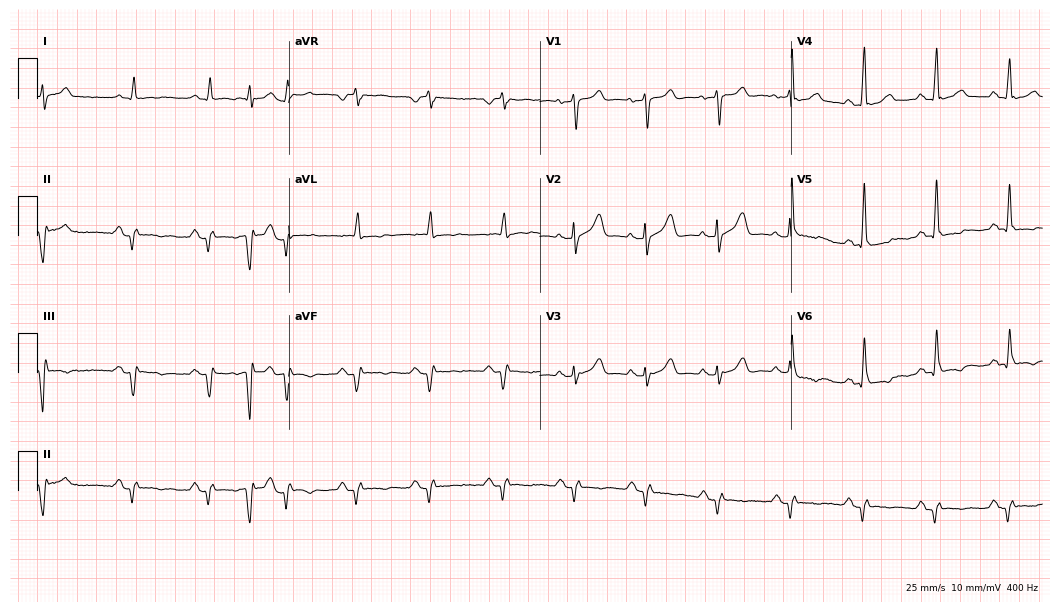
ECG (10.2-second recording at 400 Hz) — an 81-year-old man. Screened for six findings — first-degree AV block, right bundle branch block, left bundle branch block, sinus bradycardia, atrial fibrillation, sinus tachycardia — none is recorded. Other findings, if any, are not listed.